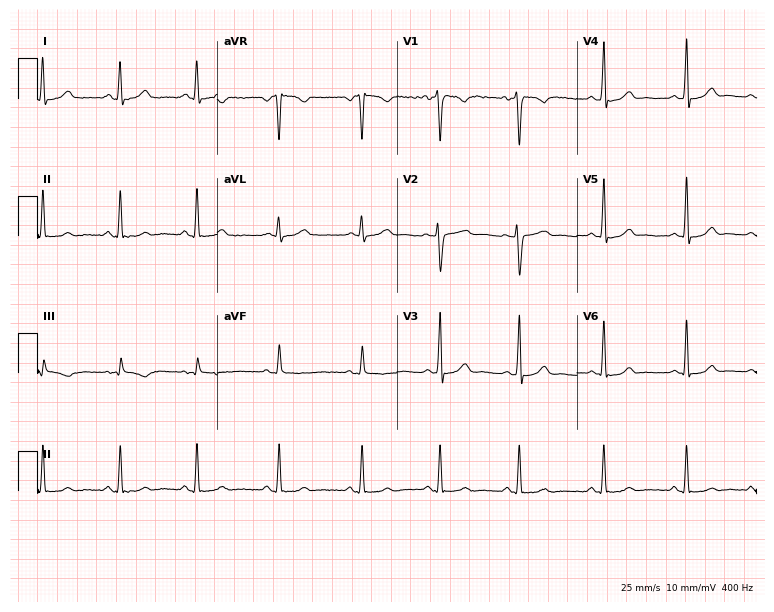
12-lead ECG from a female patient, 22 years old. Screened for six findings — first-degree AV block, right bundle branch block, left bundle branch block, sinus bradycardia, atrial fibrillation, sinus tachycardia — none is recorded. Findings outside these six are not listed.